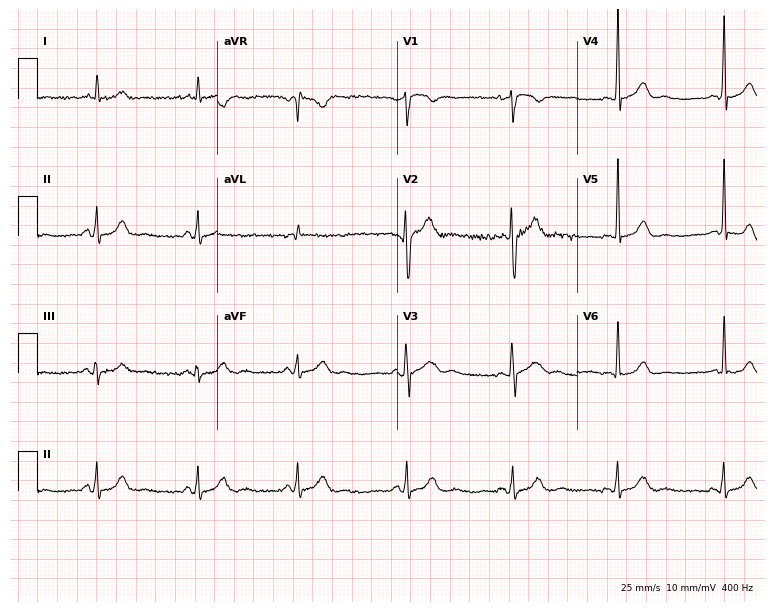
12-lead ECG from a male, 55 years old. Recorded interpretation: within normal limits.